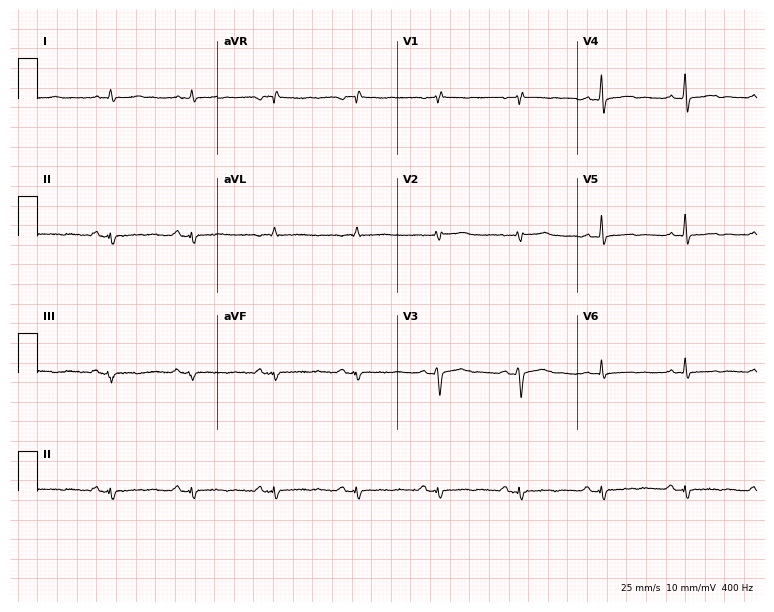
12-lead ECG from a female, 64 years old. No first-degree AV block, right bundle branch block (RBBB), left bundle branch block (LBBB), sinus bradycardia, atrial fibrillation (AF) or sinus tachycardia recorded for this tracing.